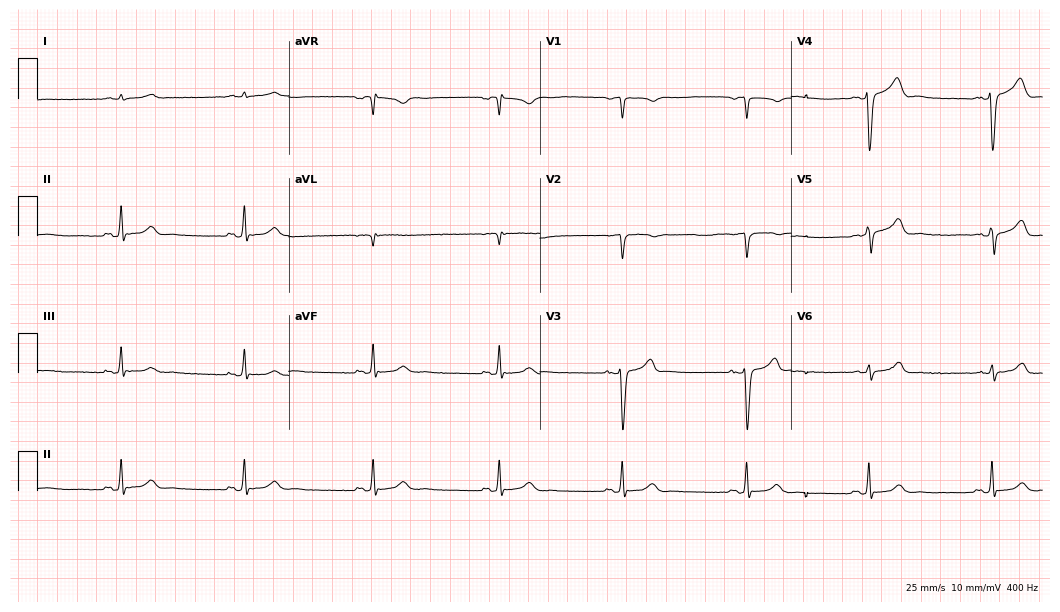
12-lead ECG from a male, 44 years old. Shows sinus bradycardia (a sinus rate of 50 beats per minute or less).